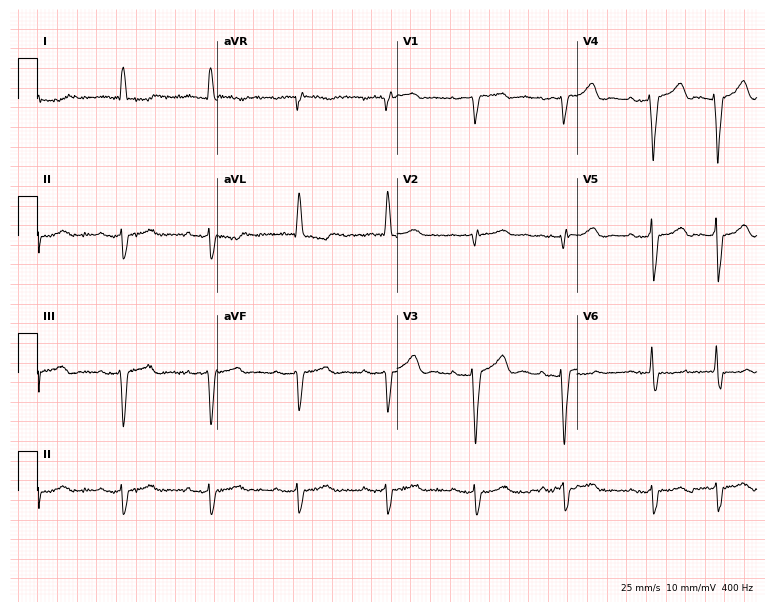
Electrocardiogram, a man, 86 years old. Of the six screened findings (first-degree AV block, right bundle branch block (RBBB), left bundle branch block (LBBB), sinus bradycardia, atrial fibrillation (AF), sinus tachycardia), none is recorded. Only these six findings were labelled.